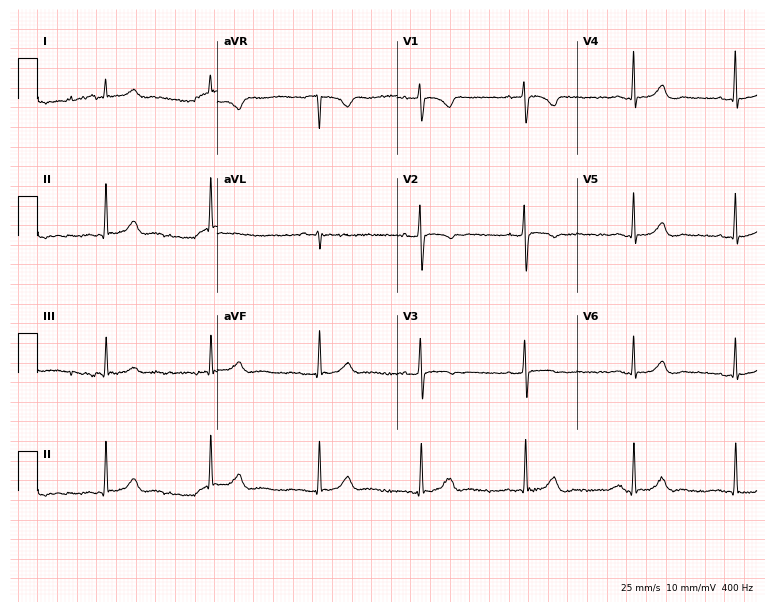
Resting 12-lead electrocardiogram. Patient: a woman, 22 years old. Read as a normal ECG.